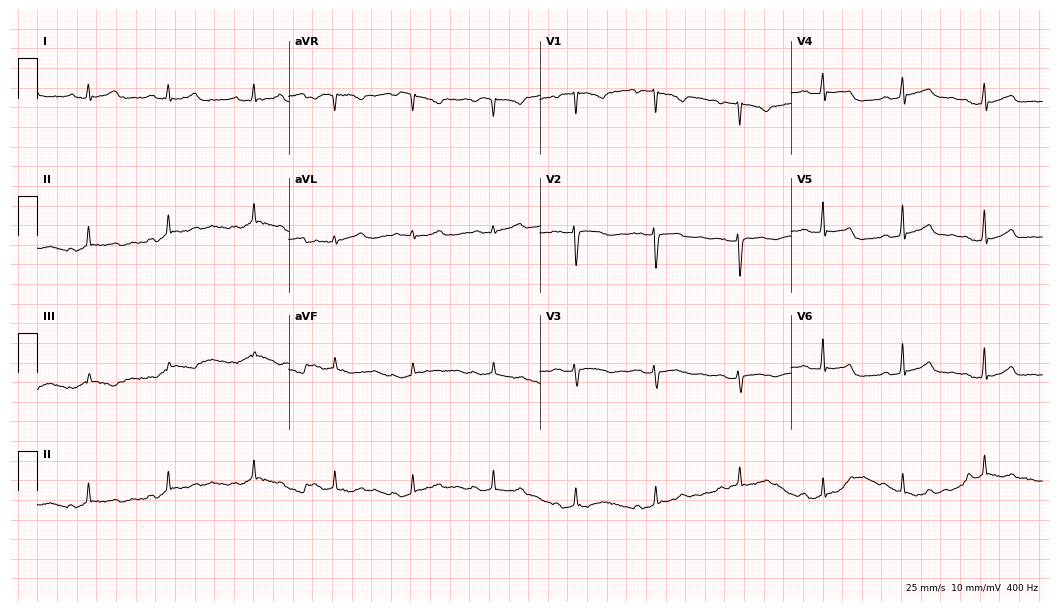
Resting 12-lead electrocardiogram. Patient: a female, 29 years old. None of these six findings is recorded: first-degree AV block, right bundle branch block, left bundle branch block, sinus bradycardia, atrial fibrillation, sinus tachycardia.